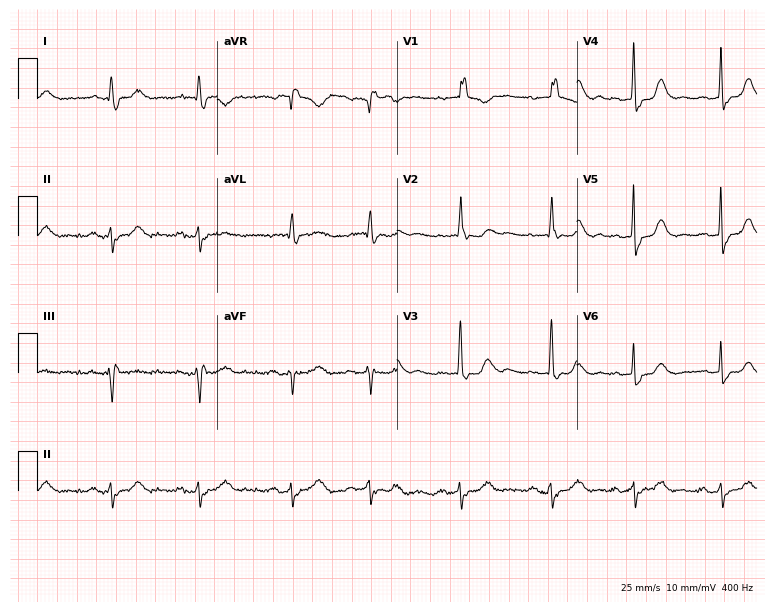
ECG (7.3-second recording at 400 Hz) — a female, 76 years old. Findings include right bundle branch block.